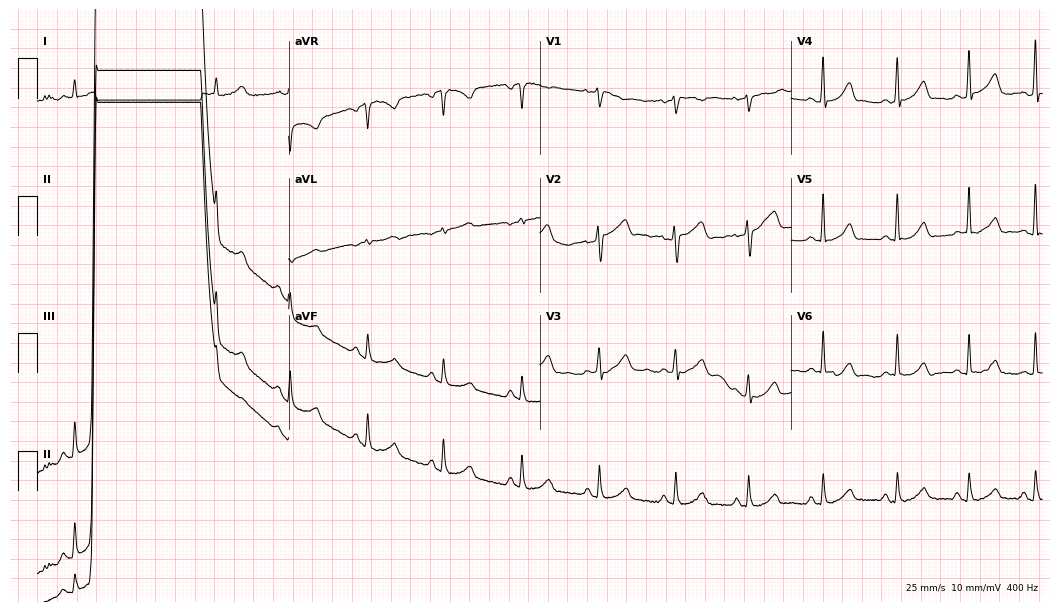
Standard 12-lead ECG recorded from a woman, 39 years old (10.2-second recording at 400 Hz). Read as a normal ECG.